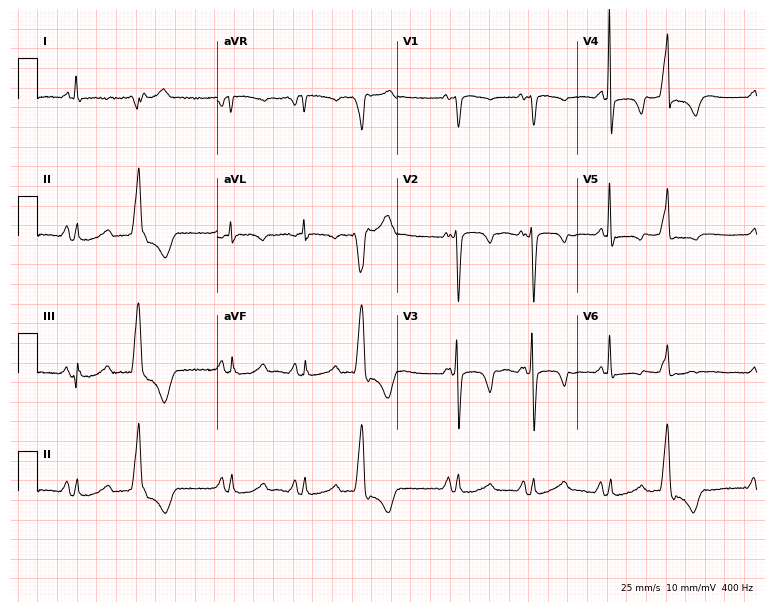
12-lead ECG from a 58-year-old female. No first-degree AV block, right bundle branch block (RBBB), left bundle branch block (LBBB), sinus bradycardia, atrial fibrillation (AF) or sinus tachycardia recorded for this tracing. Only these six findings were labelled.